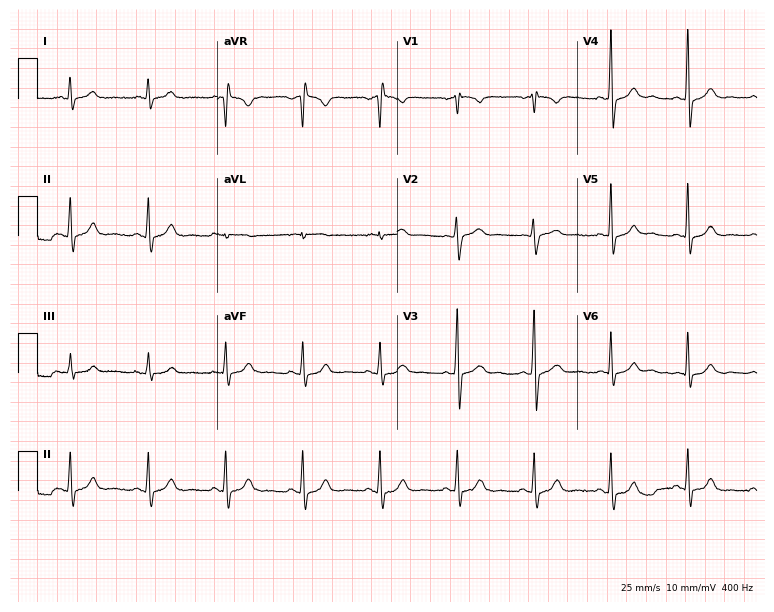
Standard 12-lead ECG recorded from a male patient, 40 years old. Read as a normal ECG.